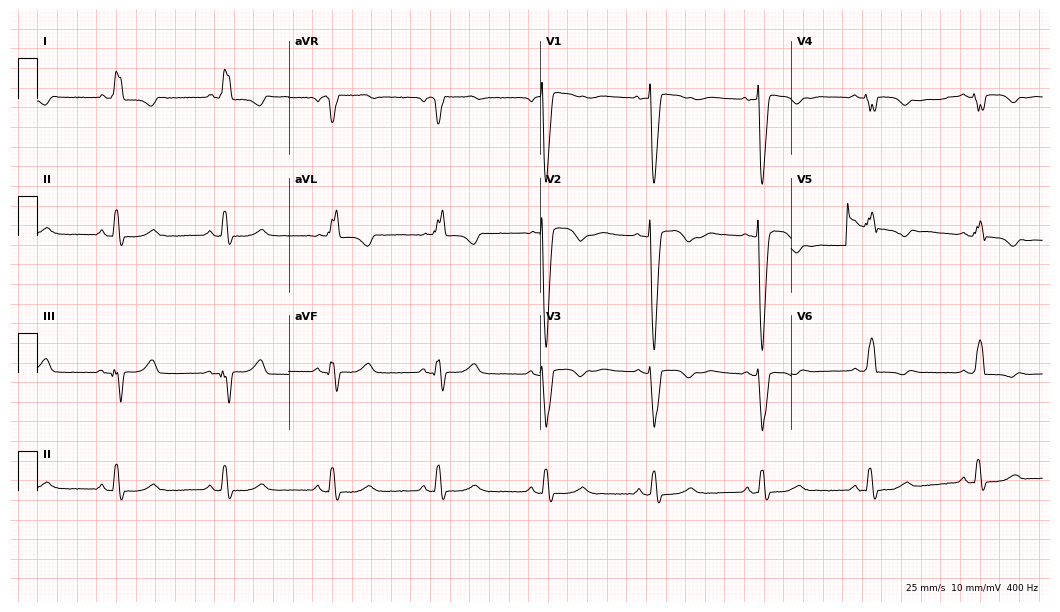
12-lead ECG from a woman, 82 years old (10.2-second recording at 400 Hz). Shows left bundle branch block.